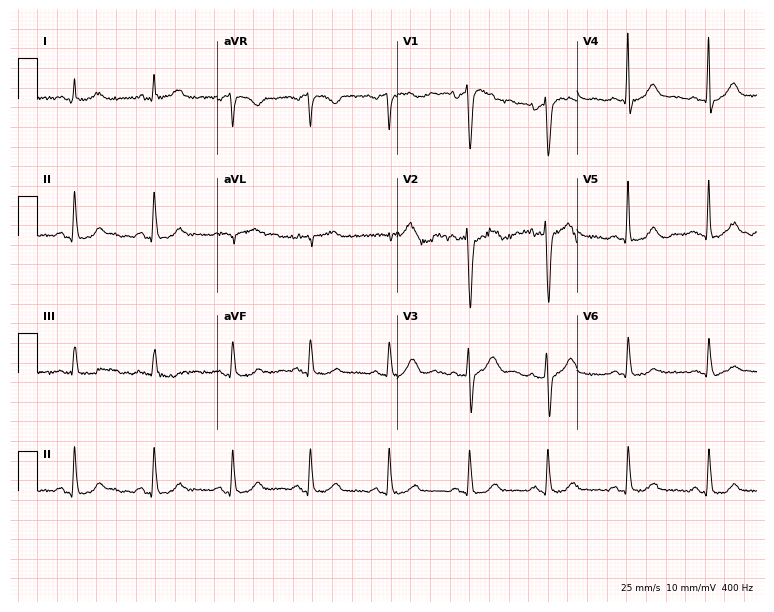
ECG — a 60-year-old man. Screened for six findings — first-degree AV block, right bundle branch block, left bundle branch block, sinus bradycardia, atrial fibrillation, sinus tachycardia — none is recorded. Only these six findings were labelled.